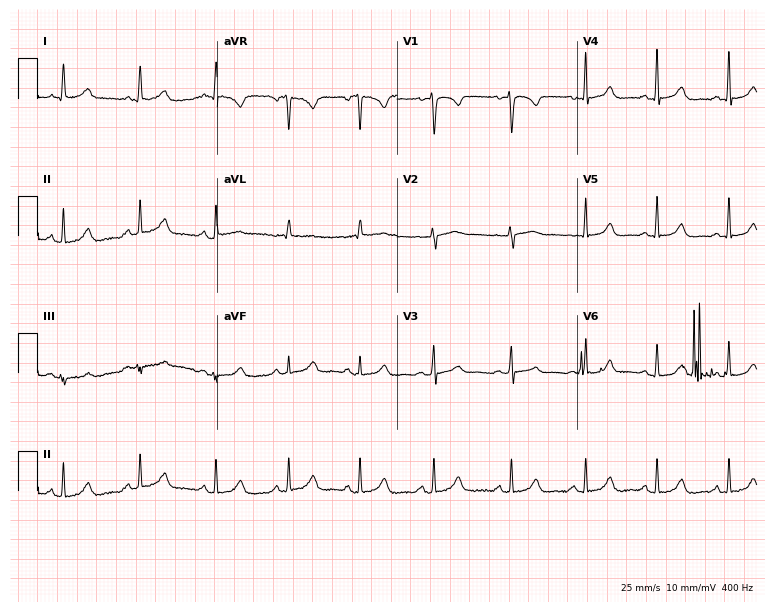
Standard 12-lead ECG recorded from a 51-year-old female patient. Read as a normal ECG.